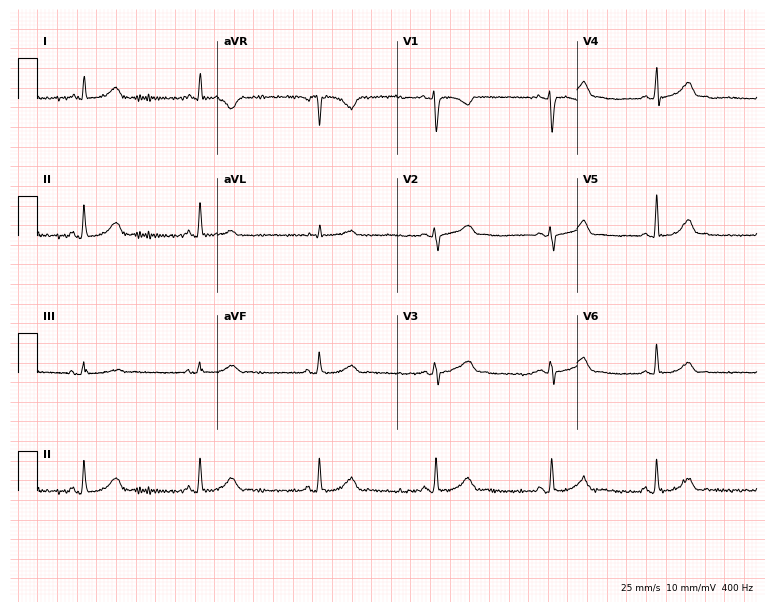
Resting 12-lead electrocardiogram (7.3-second recording at 400 Hz). Patient: a woman, 26 years old. Read as a normal ECG.